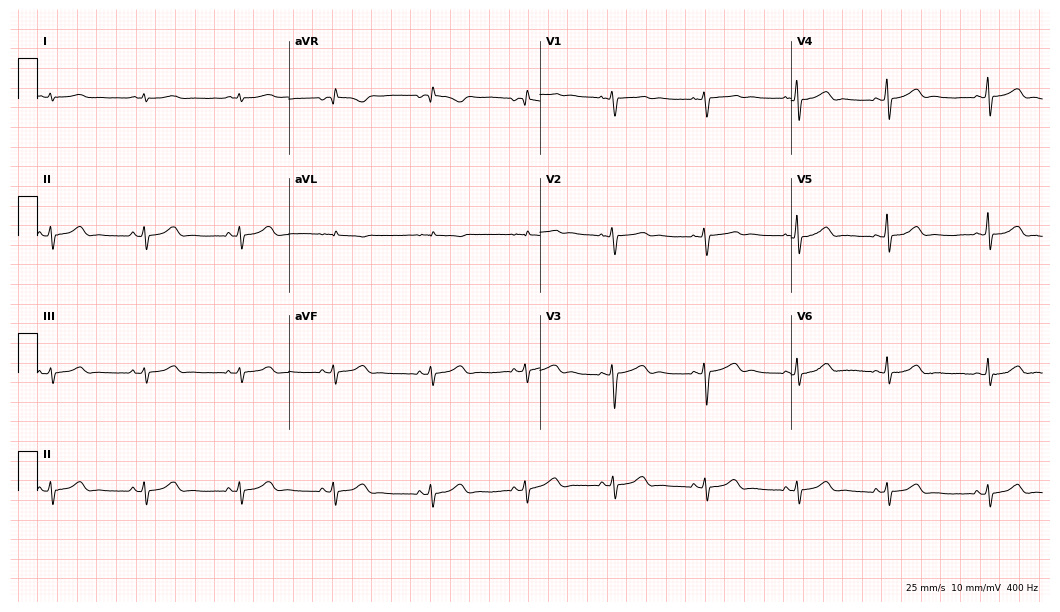
12-lead ECG from a 27-year-old female. No first-degree AV block, right bundle branch block (RBBB), left bundle branch block (LBBB), sinus bradycardia, atrial fibrillation (AF) or sinus tachycardia recorded for this tracing.